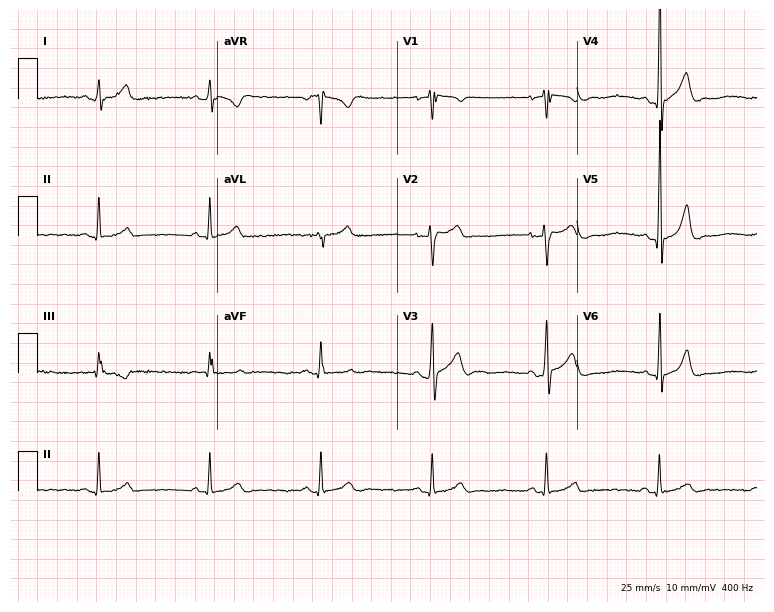
ECG — a 30-year-old male patient. Screened for six findings — first-degree AV block, right bundle branch block, left bundle branch block, sinus bradycardia, atrial fibrillation, sinus tachycardia — none is recorded. Findings outside these six are not listed.